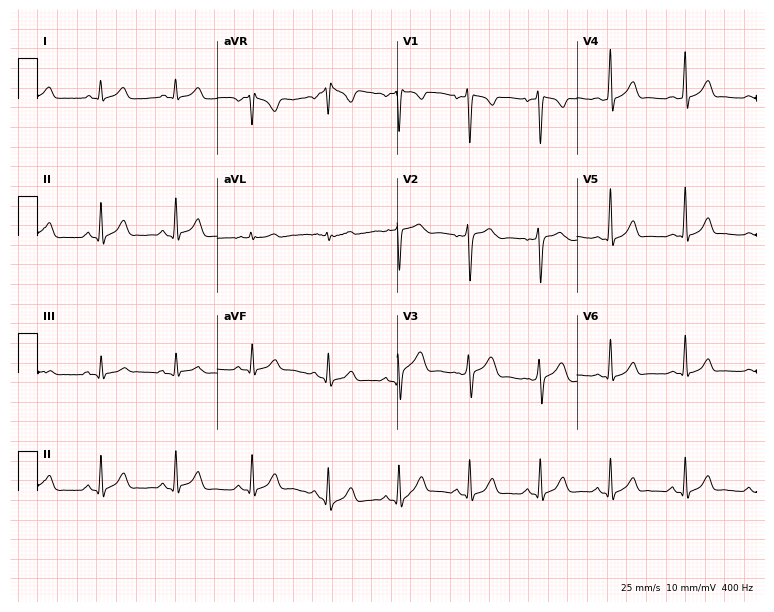
Standard 12-lead ECG recorded from a male patient, 21 years old. None of these six findings is recorded: first-degree AV block, right bundle branch block (RBBB), left bundle branch block (LBBB), sinus bradycardia, atrial fibrillation (AF), sinus tachycardia. Findings outside these six are not listed.